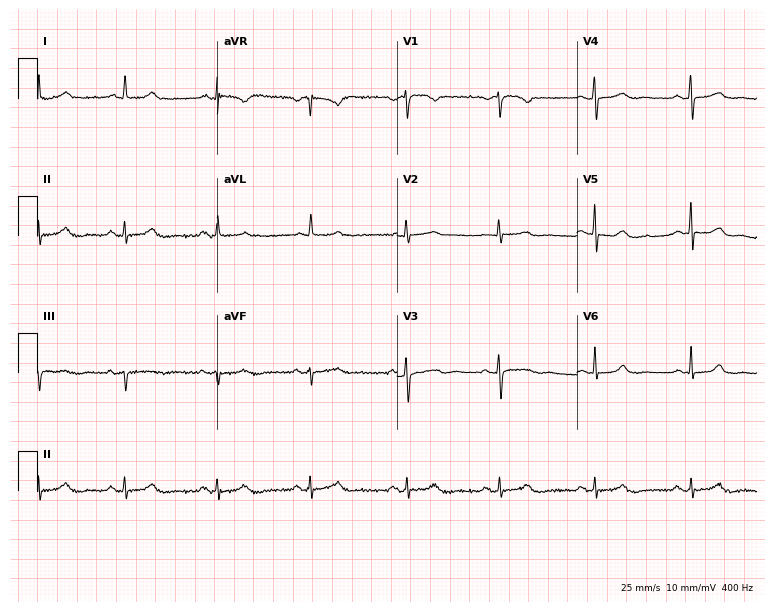
Resting 12-lead electrocardiogram (7.3-second recording at 400 Hz). Patient: a female, 51 years old. Read as a normal ECG.